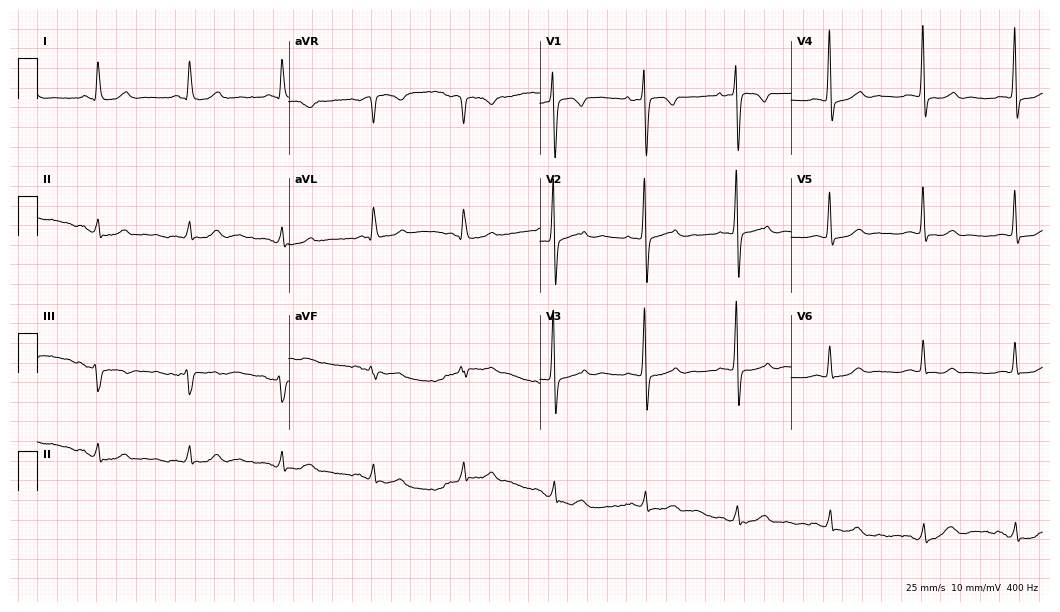
ECG — a 67-year-old woman. Screened for six findings — first-degree AV block, right bundle branch block, left bundle branch block, sinus bradycardia, atrial fibrillation, sinus tachycardia — none is recorded.